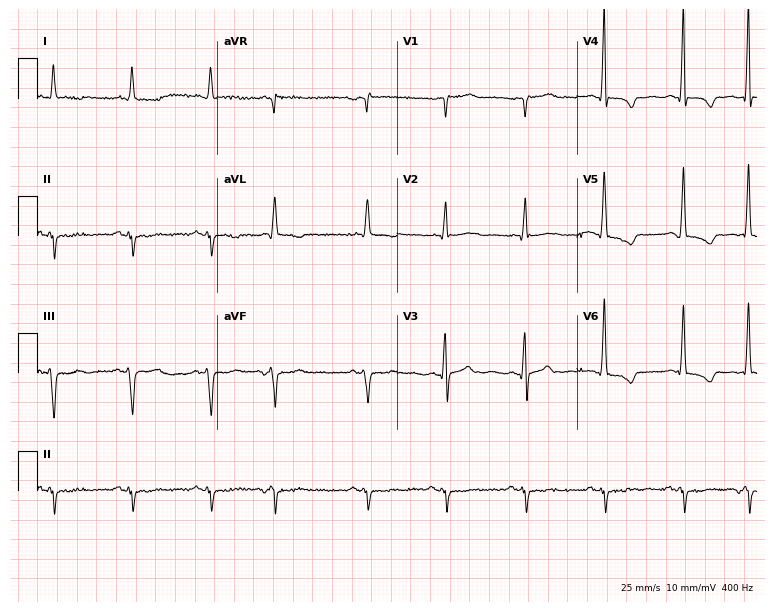
Resting 12-lead electrocardiogram (7.3-second recording at 400 Hz). Patient: an 85-year-old male. None of these six findings is recorded: first-degree AV block, right bundle branch block, left bundle branch block, sinus bradycardia, atrial fibrillation, sinus tachycardia.